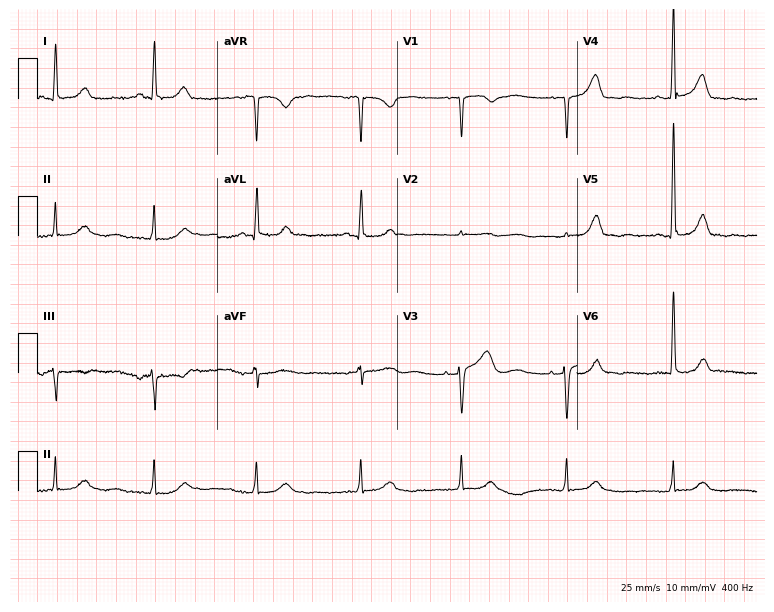
Electrocardiogram, a woman, 69 years old. Overall reading on record: normal ECG.